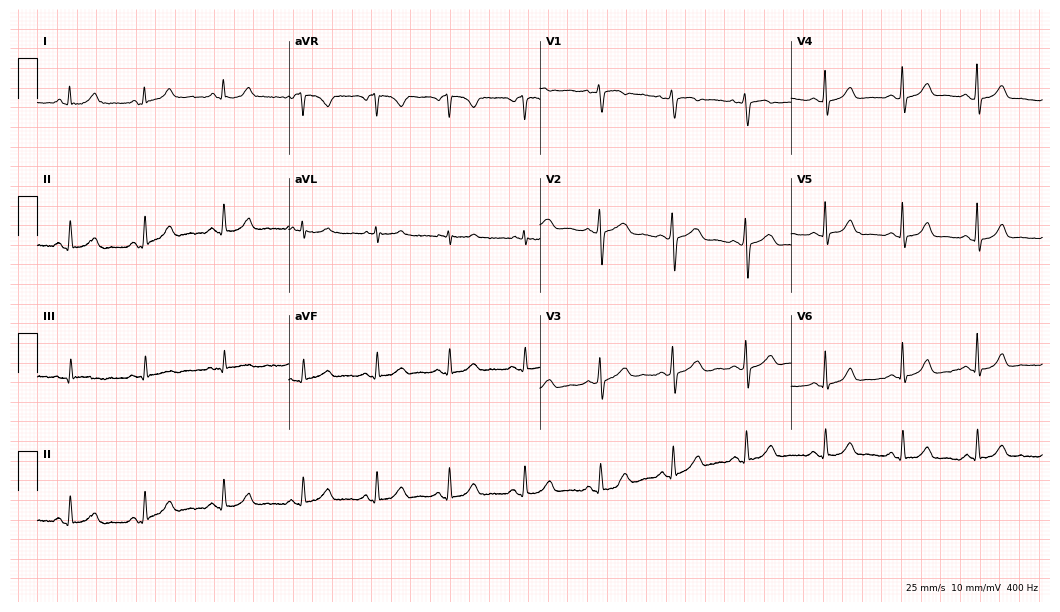
Standard 12-lead ECG recorded from a 36-year-old female (10.2-second recording at 400 Hz). None of these six findings is recorded: first-degree AV block, right bundle branch block (RBBB), left bundle branch block (LBBB), sinus bradycardia, atrial fibrillation (AF), sinus tachycardia.